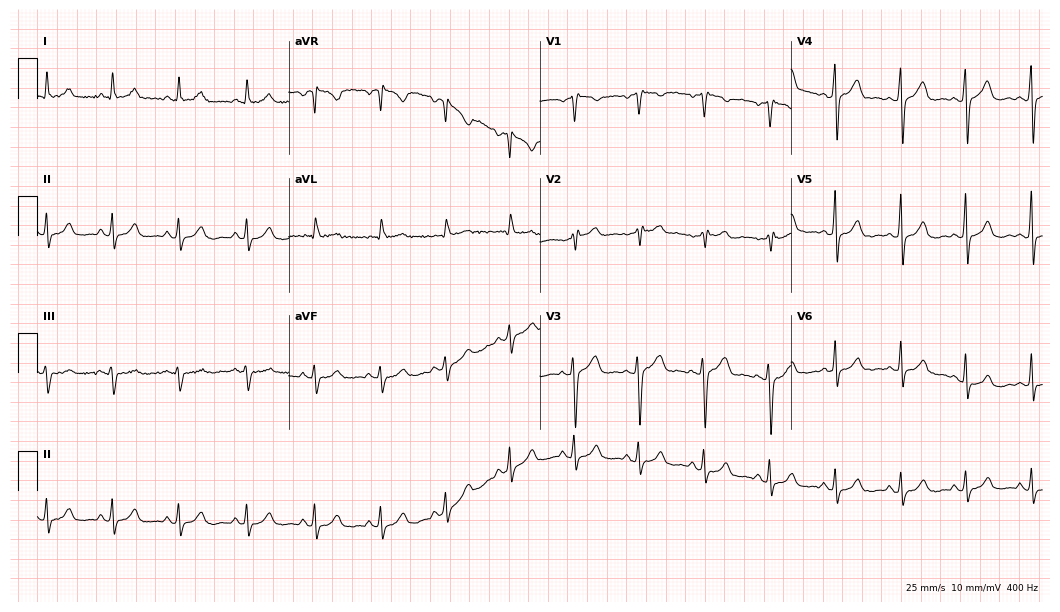
12-lead ECG (10.2-second recording at 400 Hz) from a female, 39 years old. Screened for six findings — first-degree AV block, right bundle branch block, left bundle branch block, sinus bradycardia, atrial fibrillation, sinus tachycardia — none is recorded.